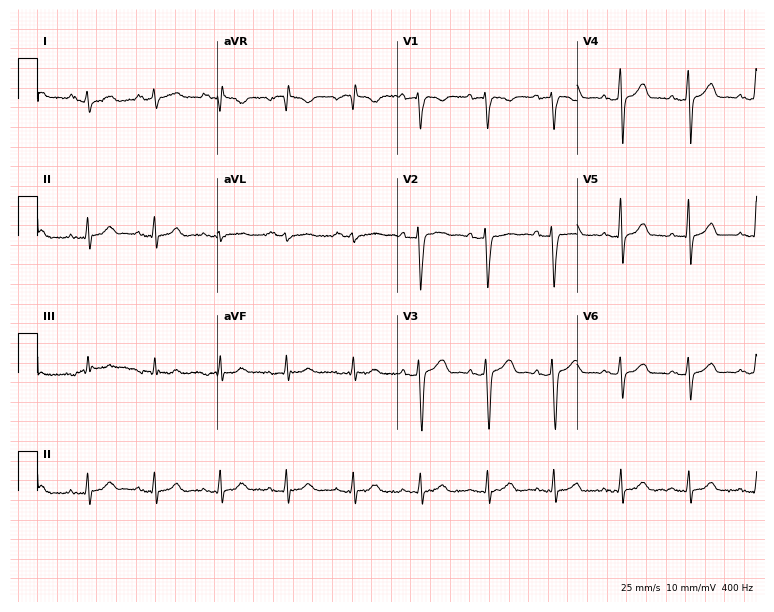
12-lead ECG (7.3-second recording at 400 Hz) from a 39-year-old woman. Labelled as a normal ECG.